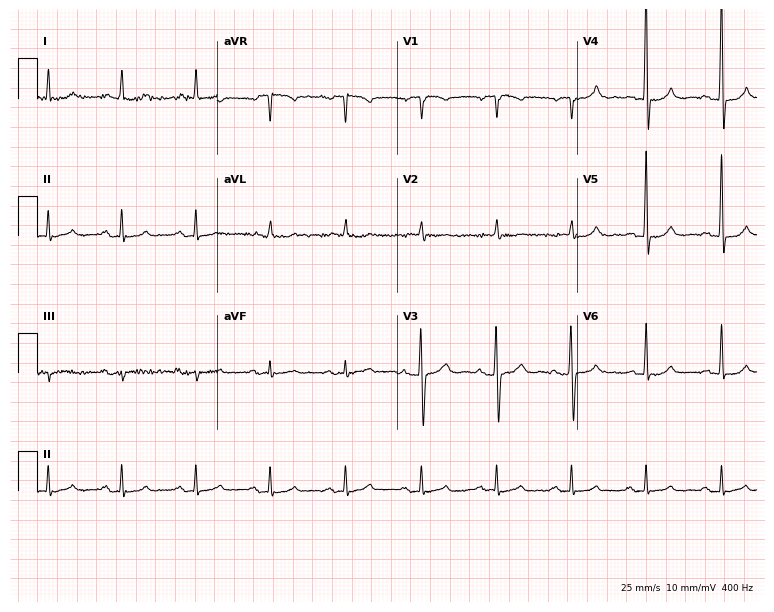
Electrocardiogram (7.3-second recording at 400 Hz), an 81-year-old male. Overall reading on record: normal ECG.